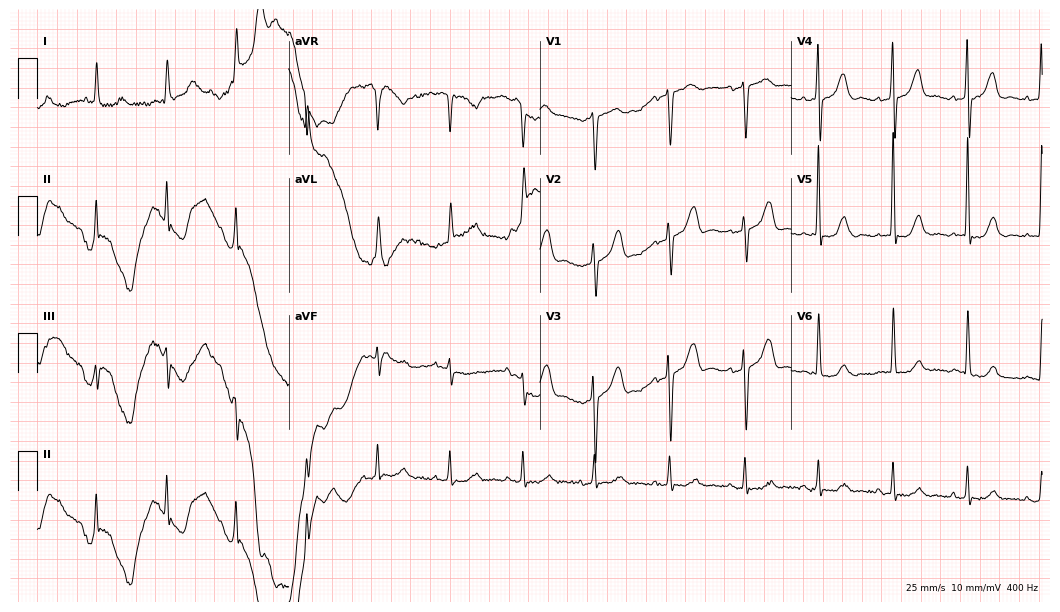
ECG — a female patient, 82 years old. Screened for six findings — first-degree AV block, right bundle branch block, left bundle branch block, sinus bradycardia, atrial fibrillation, sinus tachycardia — none is recorded.